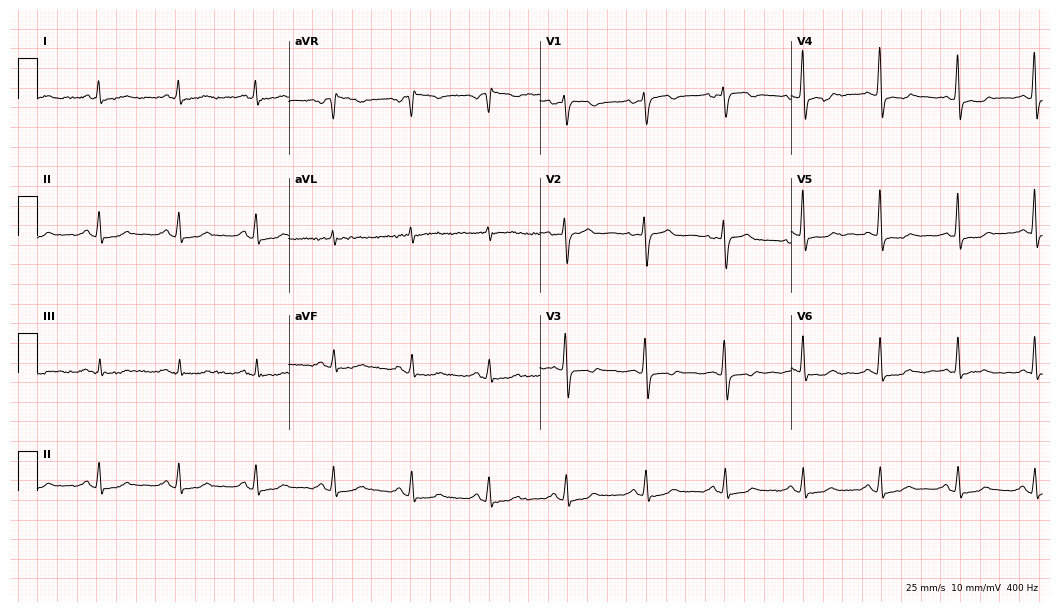
12-lead ECG from a 42-year-old female patient (10.2-second recording at 400 Hz). No first-degree AV block, right bundle branch block (RBBB), left bundle branch block (LBBB), sinus bradycardia, atrial fibrillation (AF) or sinus tachycardia recorded for this tracing.